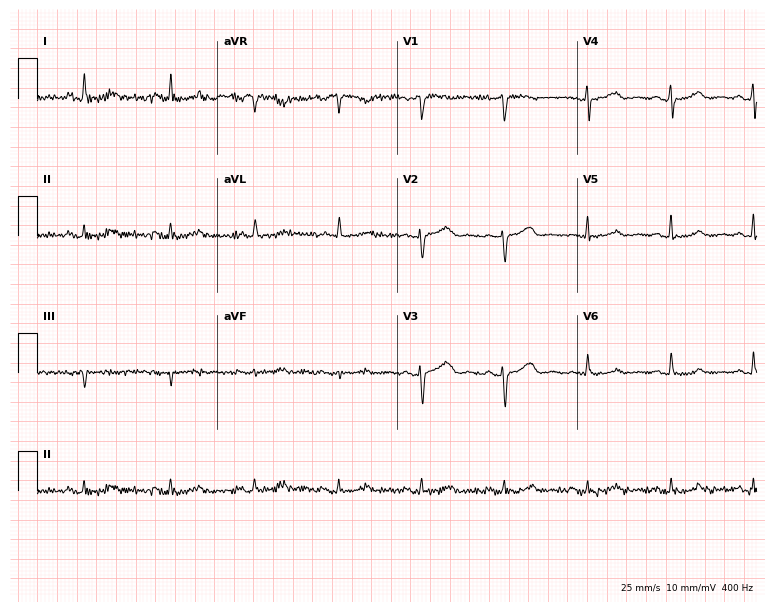
ECG — a female, 56 years old. Screened for six findings — first-degree AV block, right bundle branch block (RBBB), left bundle branch block (LBBB), sinus bradycardia, atrial fibrillation (AF), sinus tachycardia — none is recorded.